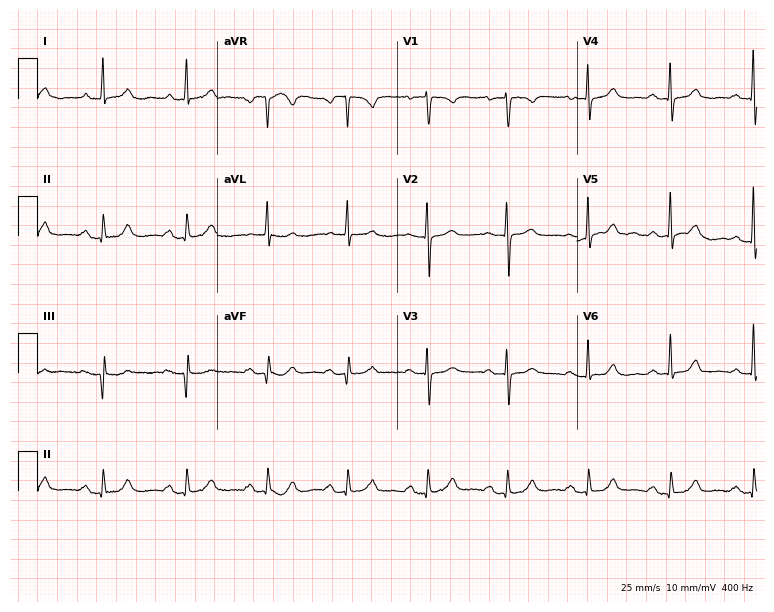
12-lead ECG from an 81-year-old woman. No first-degree AV block, right bundle branch block (RBBB), left bundle branch block (LBBB), sinus bradycardia, atrial fibrillation (AF) or sinus tachycardia recorded for this tracing. Findings outside these six are not listed.